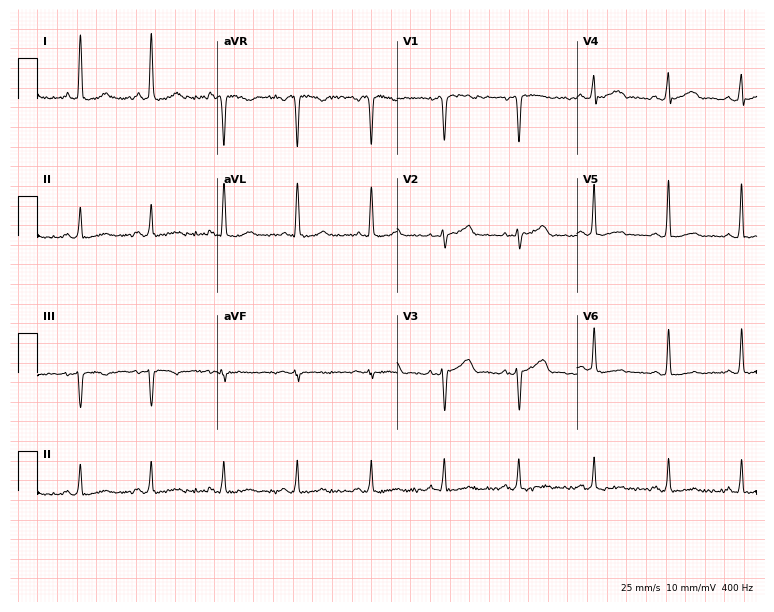
12-lead ECG from a woman, 40 years old. Screened for six findings — first-degree AV block, right bundle branch block (RBBB), left bundle branch block (LBBB), sinus bradycardia, atrial fibrillation (AF), sinus tachycardia — none is recorded.